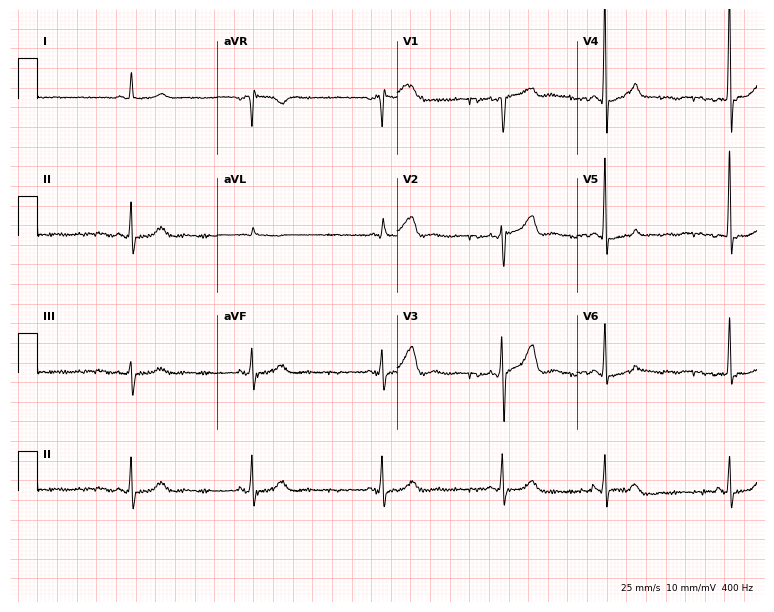
Electrocardiogram (7.3-second recording at 400 Hz), a 63-year-old female. Overall reading on record: normal ECG.